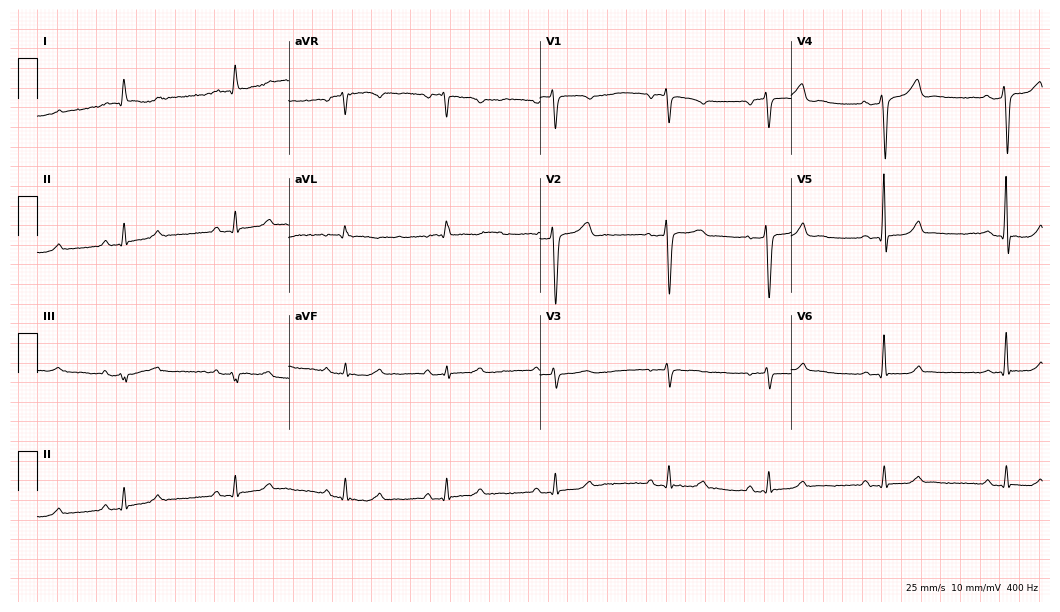
Resting 12-lead electrocardiogram. Patient: a female, 47 years old. Read as a normal ECG.